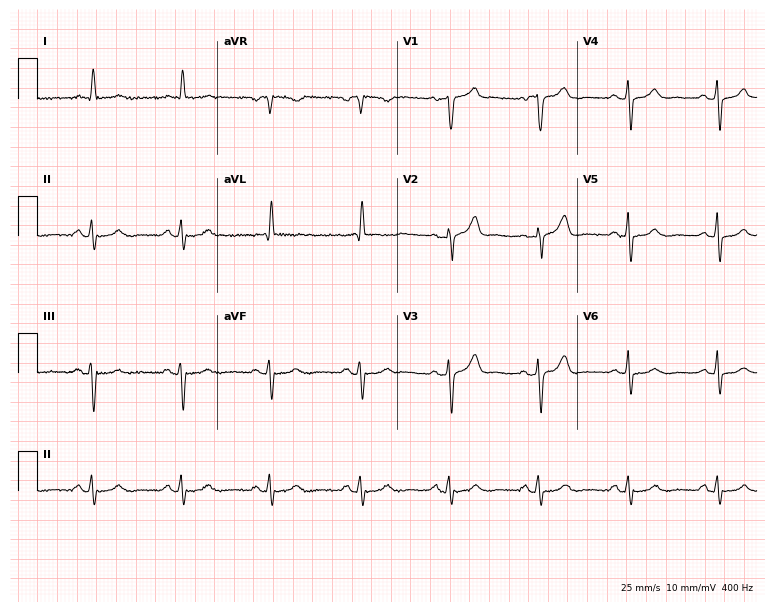
ECG — a 78-year-old male patient. Labelled as a normal ECG.